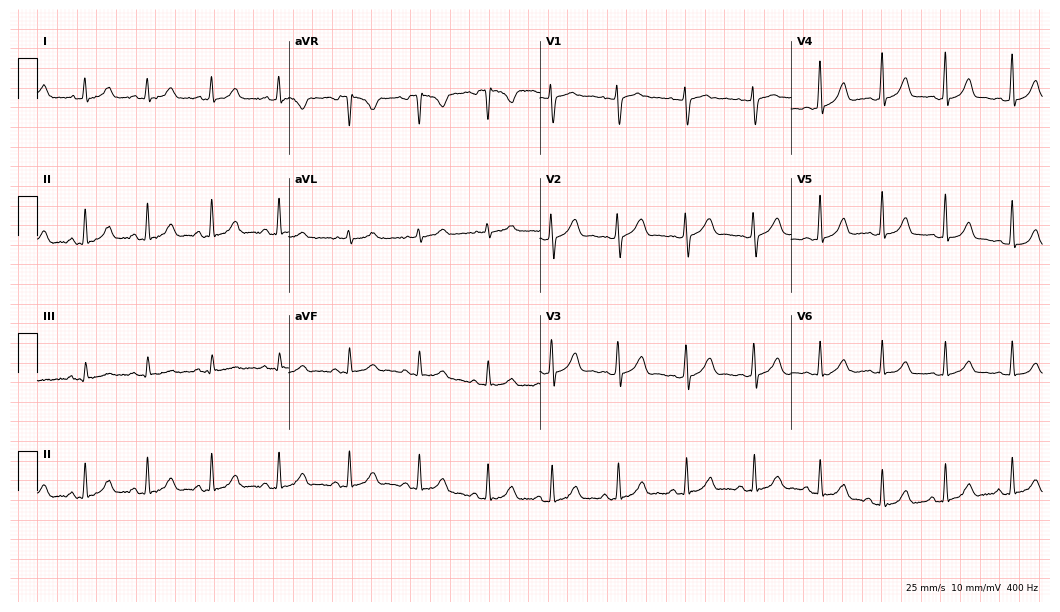
12-lead ECG (10.2-second recording at 400 Hz) from a female, 23 years old. Screened for six findings — first-degree AV block, right bundle branch block (RBBB), left bundle branch block (LBBB), sinus bradycardia, atrial fibrillation (AF), sinus tachycardia — none is recorded. Findings outside these six are not listed.